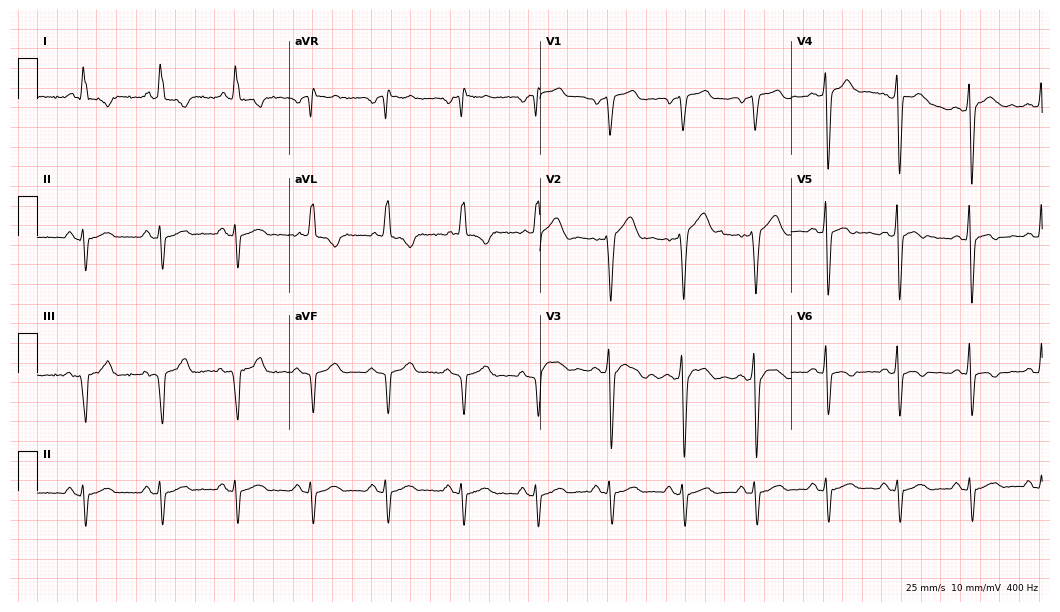
12-lead ECG from a male, 52 years old. Screened for six findings — first-degree AV block, right bundle branch block, left bundle branch block, sinus bradycardia, atrial fibrillation, sinus tachycardia — none is recorded. Other findings, if any, are not listed.